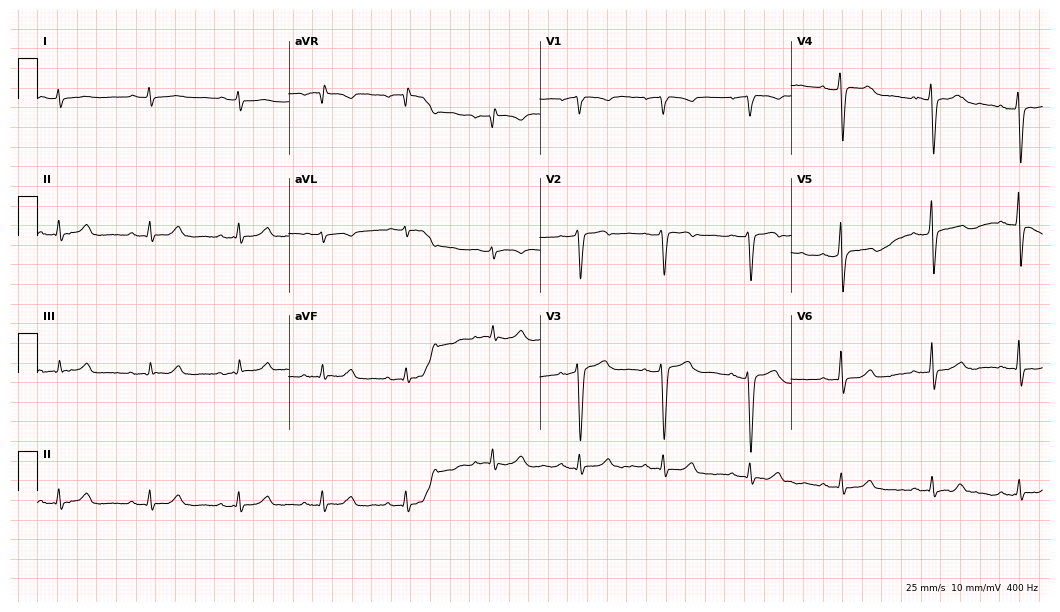
12-lead ECG (10.2-second recording at 400 Hz) from a male patient, 41 years old. Labelled as a normal ECG.